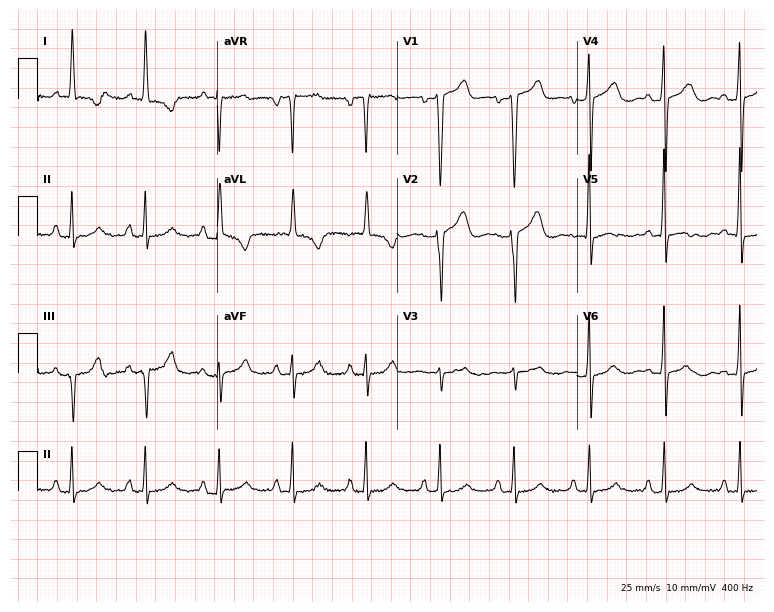
12-lead ECG (7.3-second recording at 400 Hz) from a woman, 51 years old. Screened for six findings — first-degree AV block, right bundle branch block, left bundle branch block, sinus bradycardia, atrial fibrillation, sinus tachycardia — none is recorded.